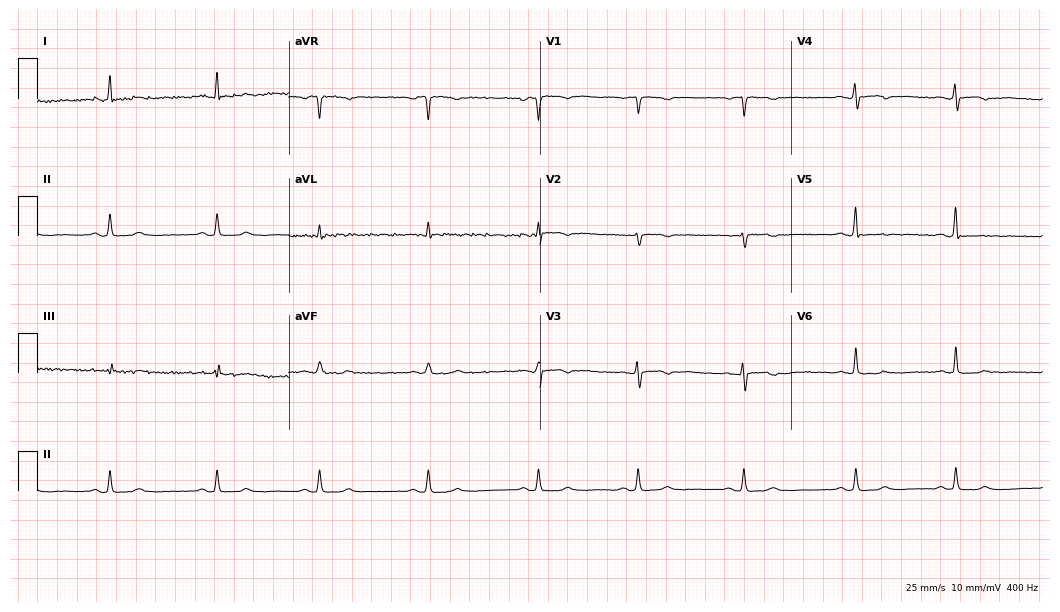
Resting 12-lead electrocardiogram (10.2-second recording at 400 Hz). Patient: a 21-year-old woman. None of these six findings is recorded: first-degree AV block, right bundle branch block (RBBB), left bundle branch block (LBBB), sinus bradycardia, atrial fibrillation (AF), sinus tachycardia.